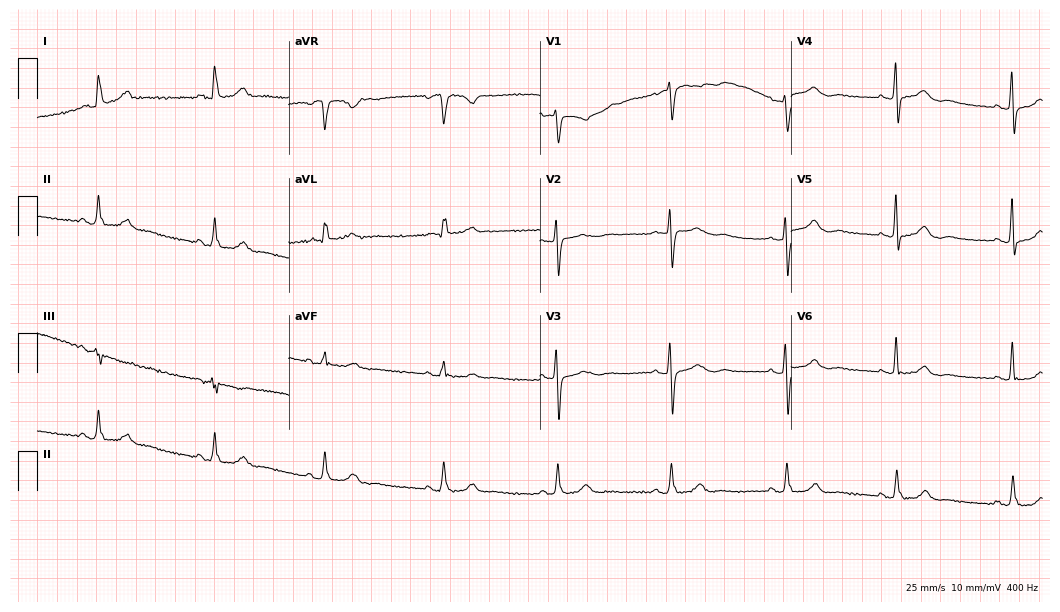
12-lead ECG from a 79-year-old woman (10.2-second recording at 400 Hz). Recorded interpretation: within normal limits.